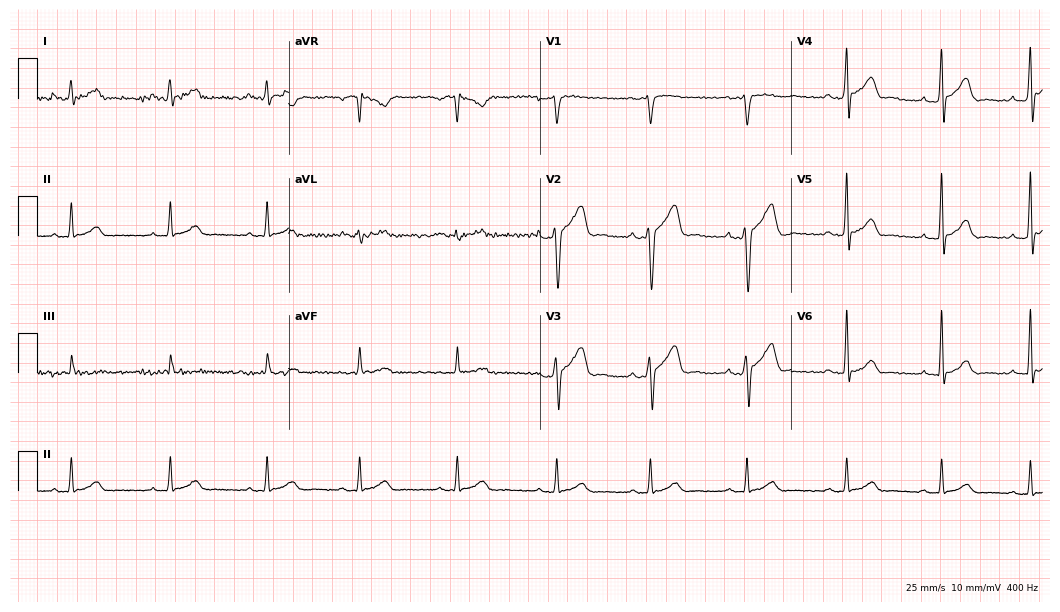
12-lead ECG from a 29-year-old man (10.2-second recording at 400 Hz). Recorded interpretation: within normal limits.